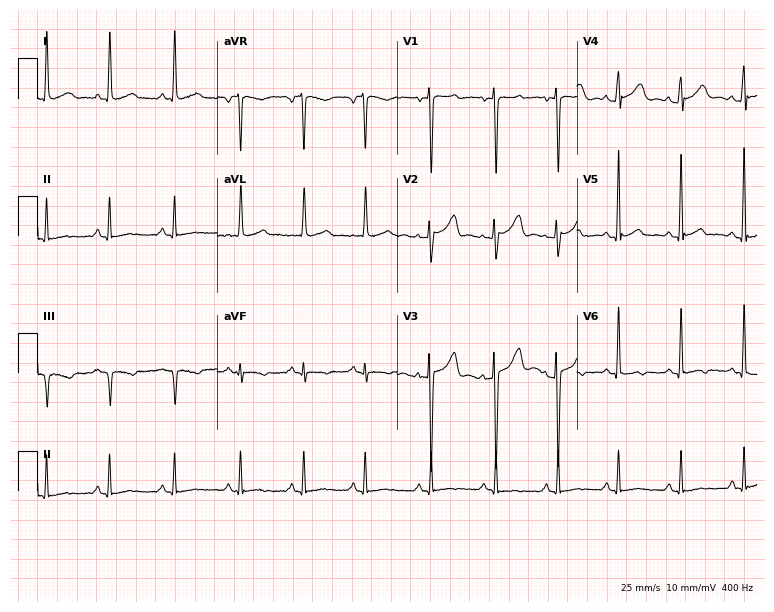
Electrocardiogram (7.3-second recording at 400 Hz), a 35-year-old female. Of the six screened findings (first-degree AV block, right bundle branch block (RBBB), left bundle branch block (LBBB), sinus bradycardia, atrial fibrillation (AF), sinus tachycardia), none is recorded. Findings outside these six are not listed.